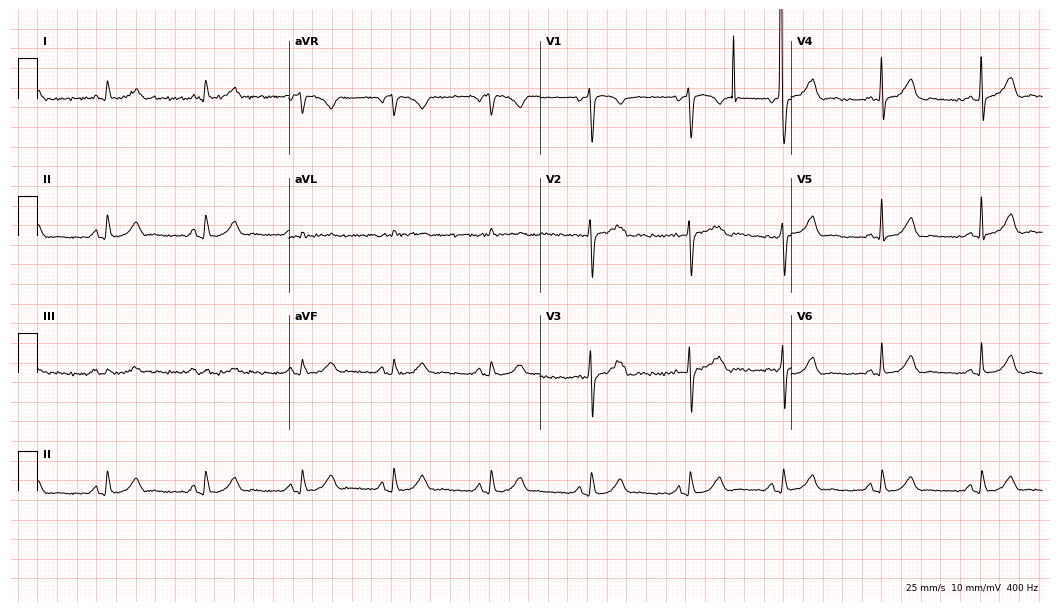
Electrocardiogram, a 49-year-old female patient. Overall reading on record: normal ECG.